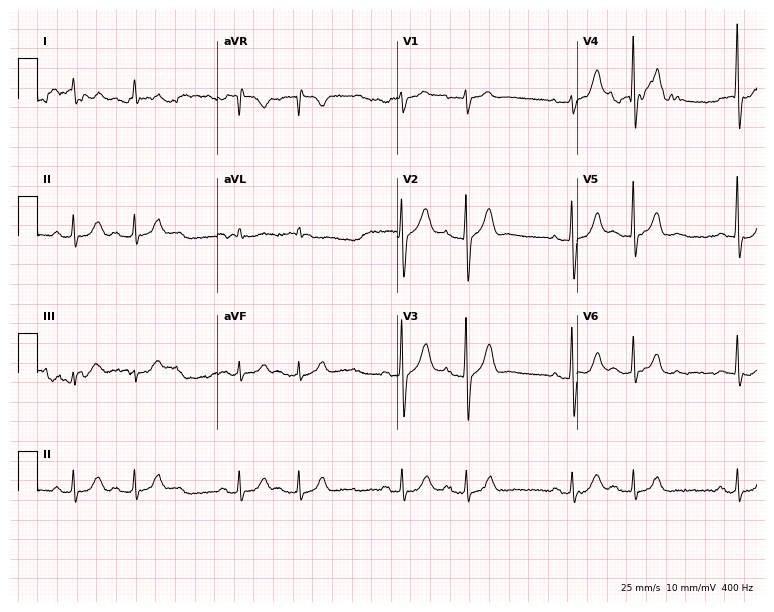
Resting 12-lead electrocardiogram (7.3-second recording at 400 Hz). Patient: a man, 84 years old. None of these six findings is recorded: first-degree AV block, right bundle branch block, left bundle branch block, sinus bradycardia, atrial fibrillation, sinus tachycardia. Findings outside these six are not listed.